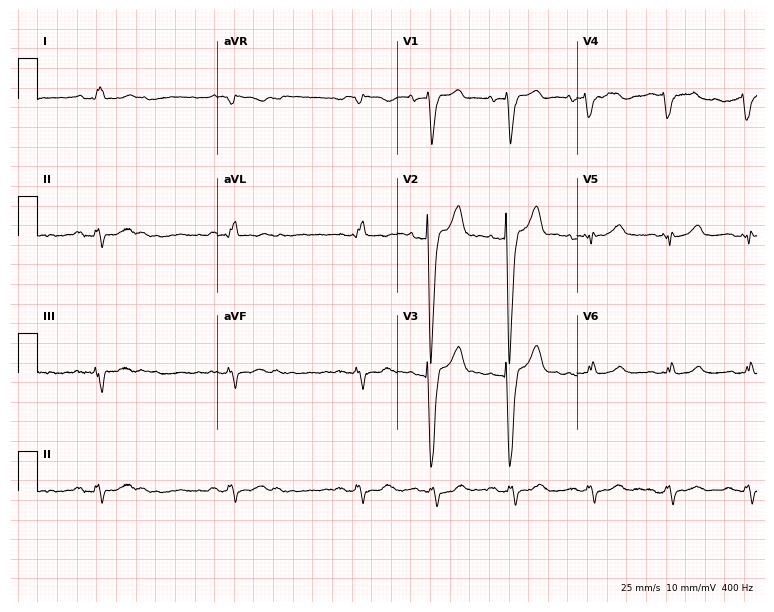
ECG (7.3-second recording at 400 Hz) — a female, 83 years old. Findings include left bundle branch block.